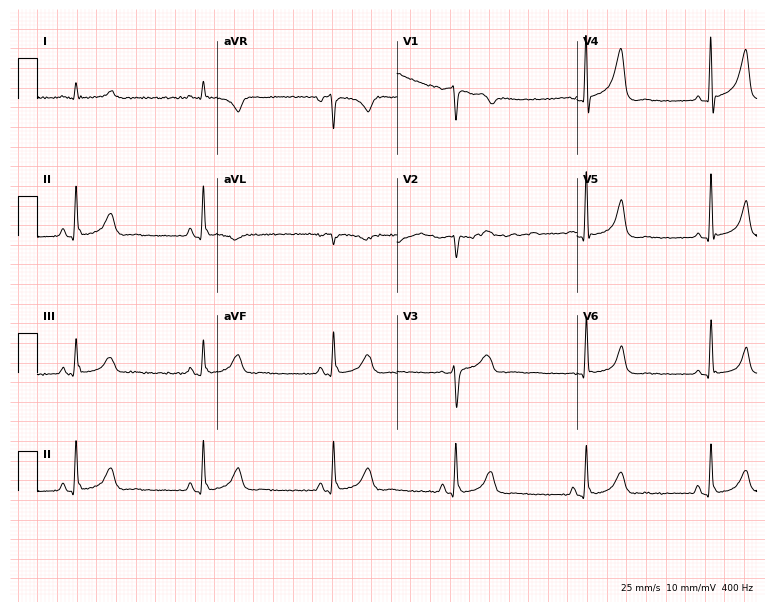
12-lead ECG from a 72-year-old male patient (7.3-second recording at 400 Hz). Shows sinus bradycardia (a sinus rate of 50 beats per minute or less).